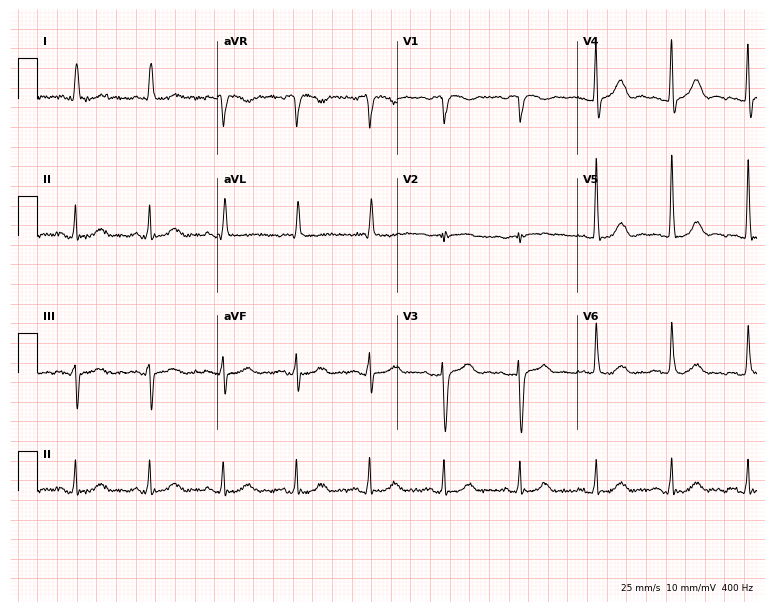
12-lead ECG from a 69-year-old woman (7.3-second recording at 400 Hz). No first-degree AV block, right bundle branch block (RBBB), left bundle branch block (LBBB), sinus bradycardia, atrial fibrillation (AF) or sinus tachycardia recorded for this tracing. Only these six findings were labelled.